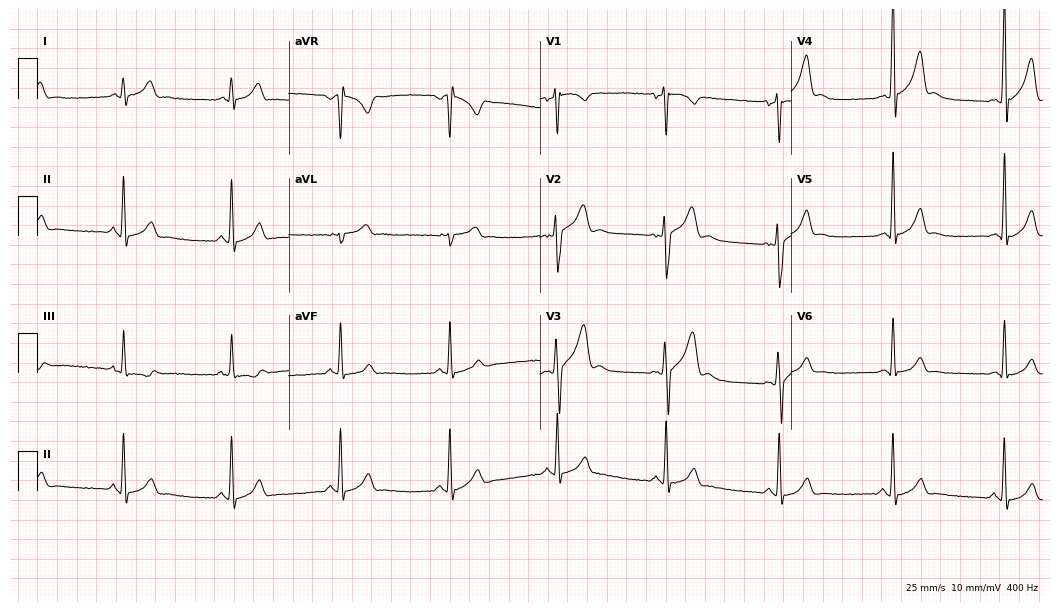
Electrocardiogram, a 28-year-old man. Of the six screened findings (first-degree AV block, right bundle branch block (RBBB), left bundle branch block (LBBB), sinus bradycardia, atrial fibrillation (AF), sinus tachycardia), none is recorded. Only these six findings were labelled.